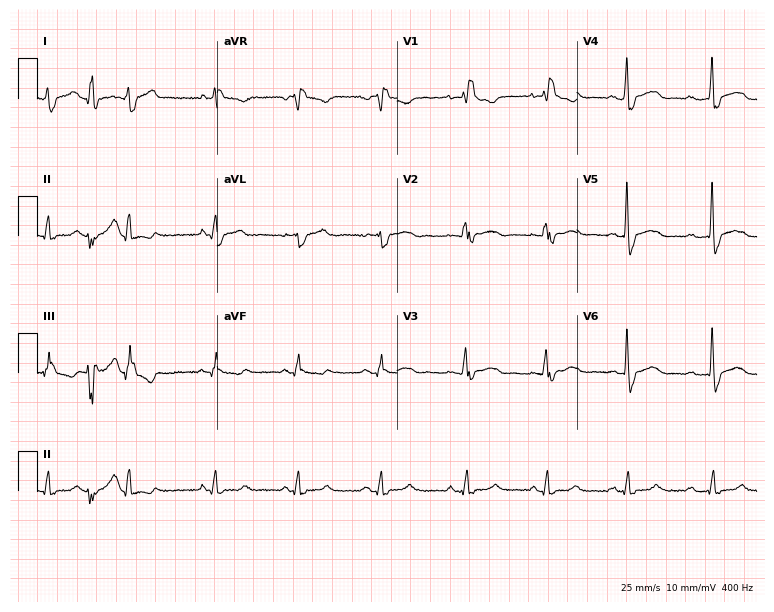
12-lead ECG from a female, 65 years old (7.3-second recording at 400 Hz). Shows right bundle branch block.